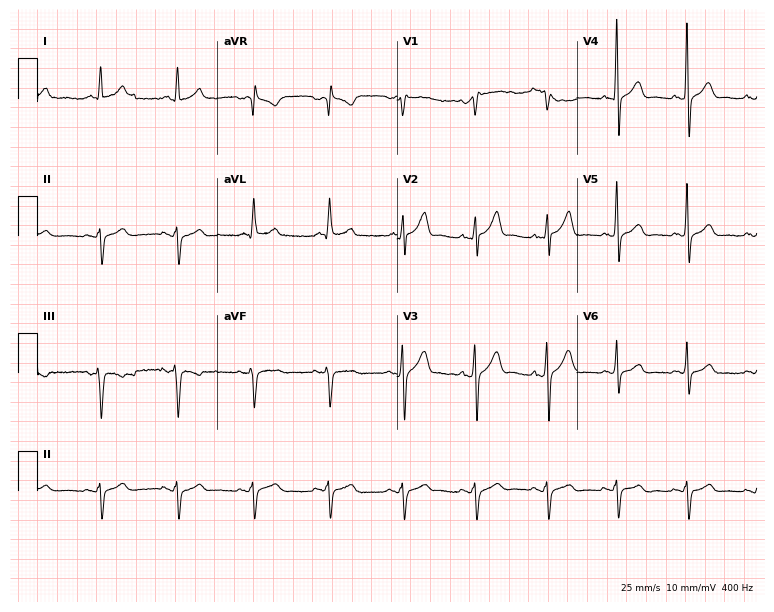
Electrocardiogram, a male, 69 years old. Of the six screened findings (first-degree AV block, right bundle branch block (RBBB), left bundle branch block (LBBB), sinus bradycardia, atrial fibrillation (AF), sinus tachycardia), none is recorded.